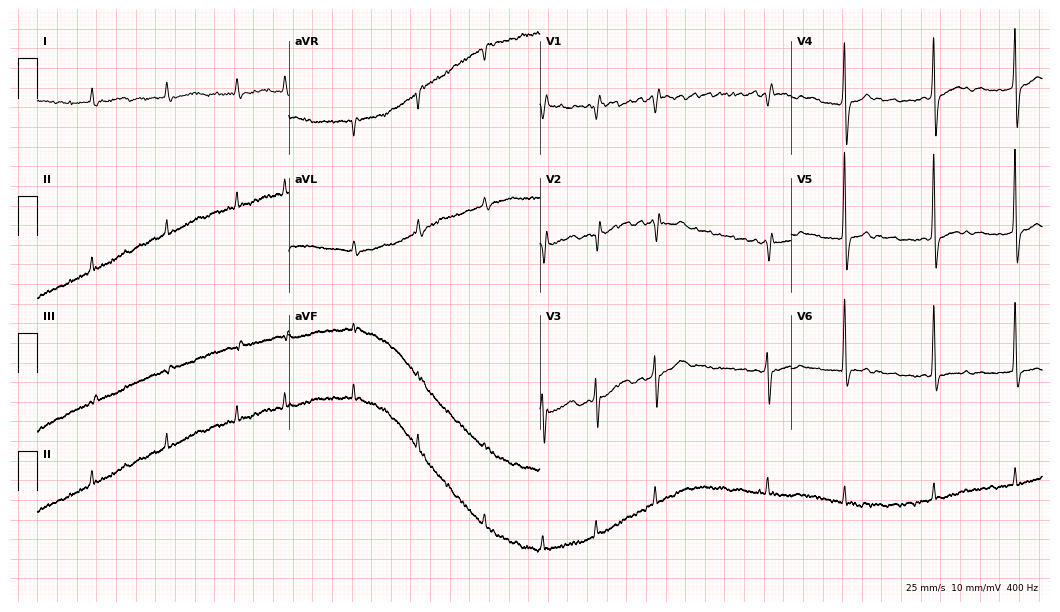
Standard 12-lead ECG recorded from a 79-year-old female patient. None of these six findings is recorded: first-degree AV block, right bundle branch block (RBBB), left bundle branch block (LBBB), sinus bradycardia, atrial fibrillation (AF), sinus tachycardia. Other findings, if any, are not listed.